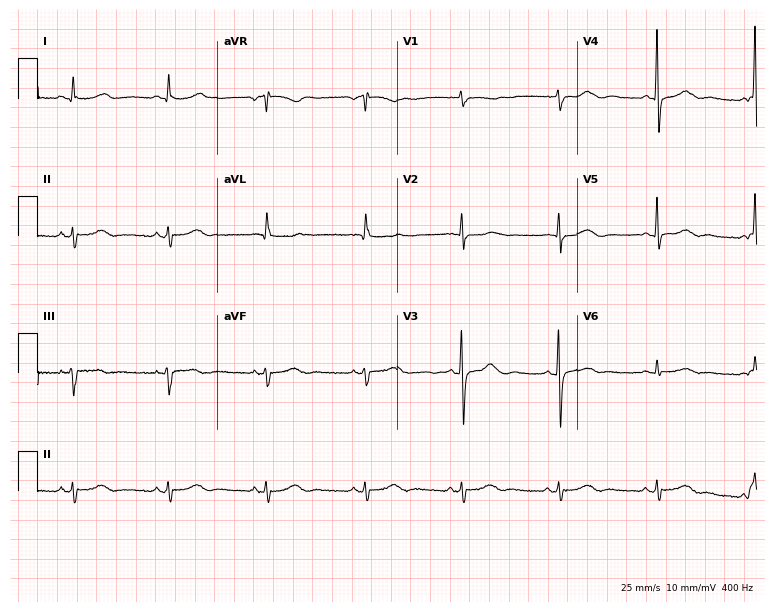
12-lead ECG (7.3-second recording at 400 Hz) from a man, 61 years old. Screened for six findings — first-degree AV block, right bundle branch block, left bundle branch block, sinus bradycardia, atrial fibrillation, sinus tachycardia — none is recorded.